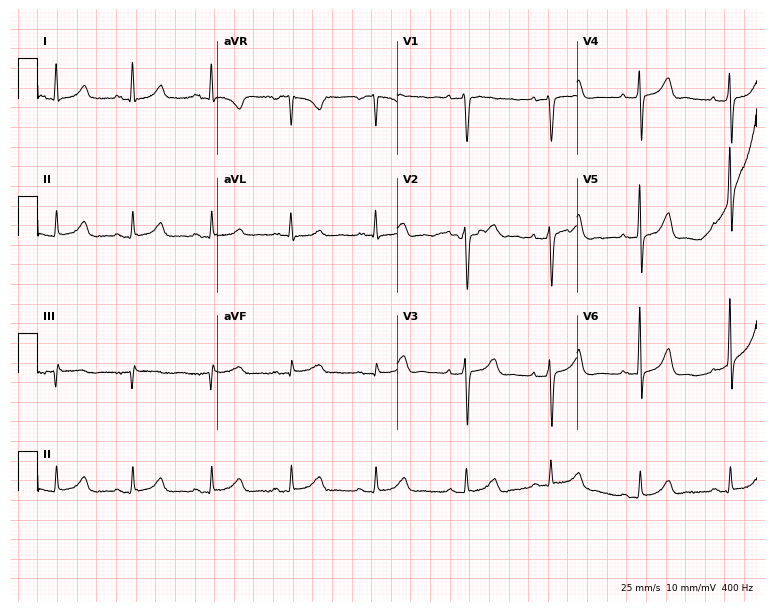
Standard 12-lead ECG recorded from a 47-year-old female patient (7.3-second recording at 400 Hz). Read as a normal ECG.